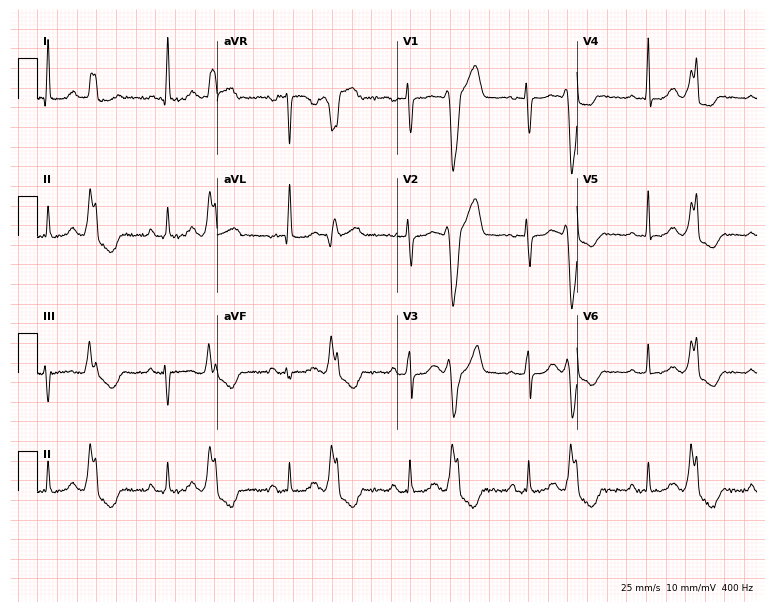
12-lead ECG (7.3-second recording at 400 Hz) from a 64-year-old woman. Screened for six findings — first-degree AV block, right bundle branch block (RBBB), left bundle branch block (LBBB), sinus bradycardia, atrial fibrillation (AF), sinus tachycardia — none is recorded. Findings outside these six are not listed.